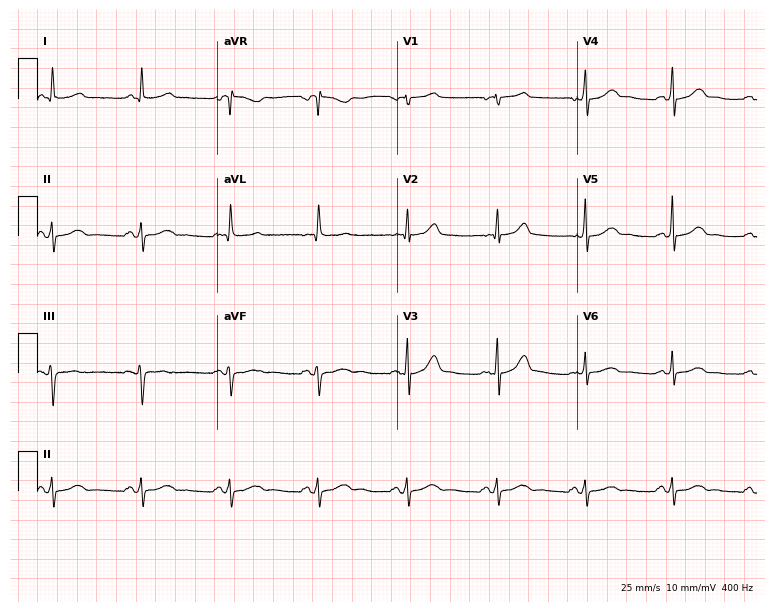
12-lead ECG from a 68-year-old female. Screened for six findings — first-degree AV block, right bundle branch block (RBBB), left bundle branch block (LBBB), sinus bradycardia, atrial fibrillation (AF), sinus tachycardia — none is recorded. Findings outside these six are not listed.